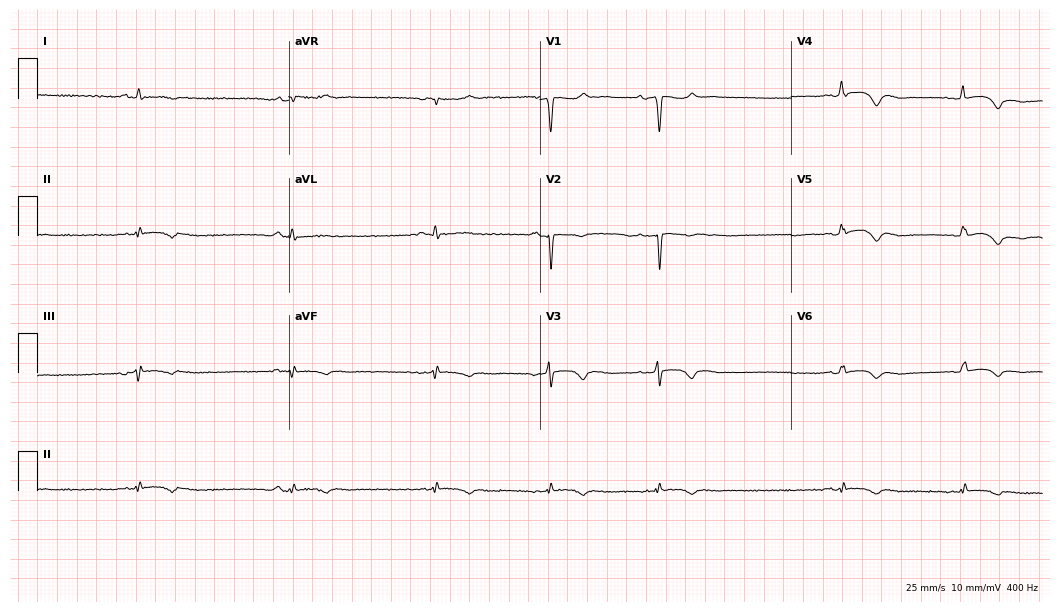
12-lead ECG from a female patient, 46 years old. Findings include sinus bradycardia (a sinus rate of 50 beats per minute or less).